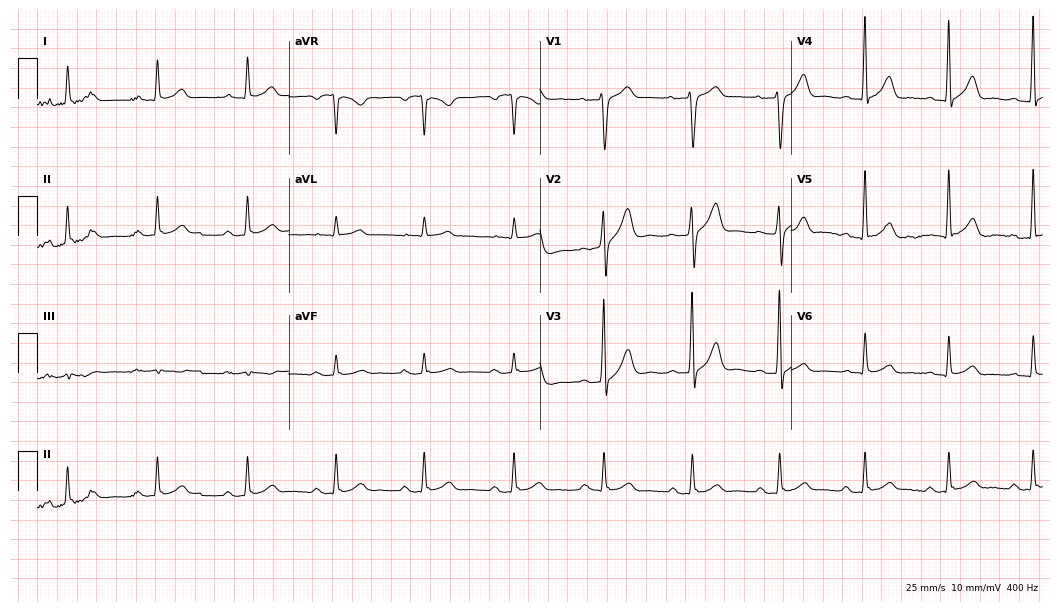
12-lead ECG (10.2-second recording at 400 Hz) from a 67-year-old man. Labelled as a normal ECG.